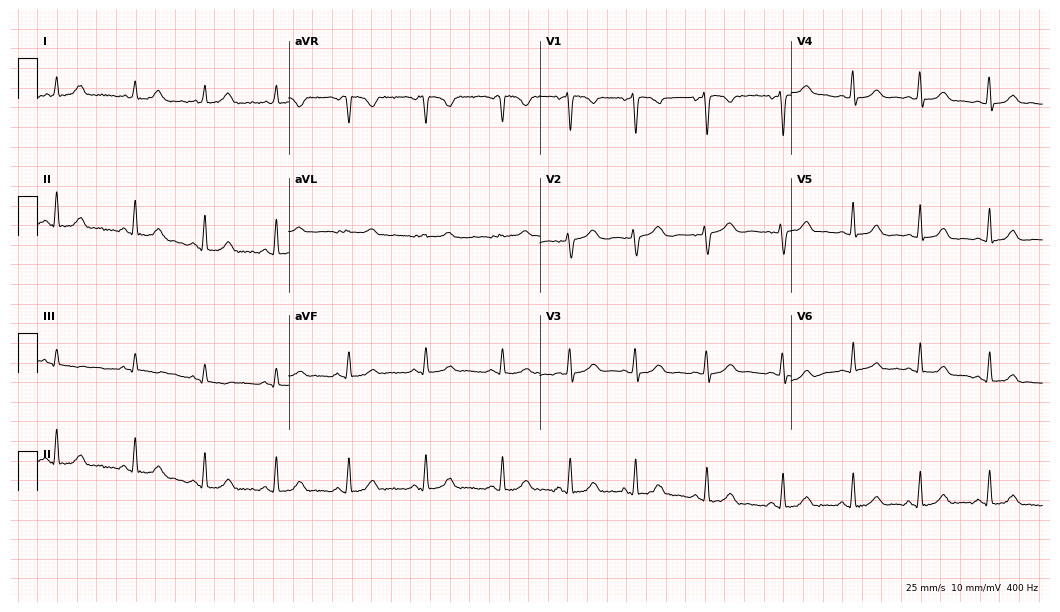
Standard 12-lead ECG recorded from a 20-year-old woman. Read as a normal ECG.